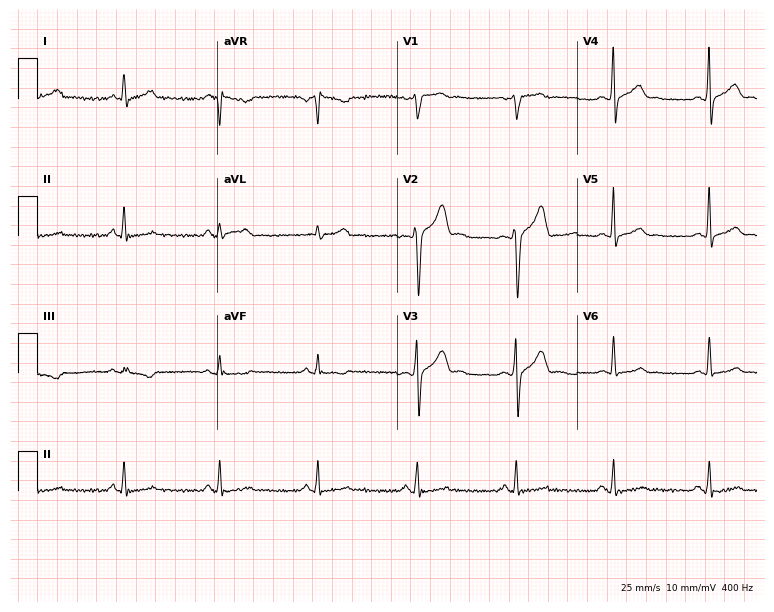
12-lead ECG from a man, 43 years old (7.3-second recording at 400 Hz). Recorded interpretation: within normal limits.